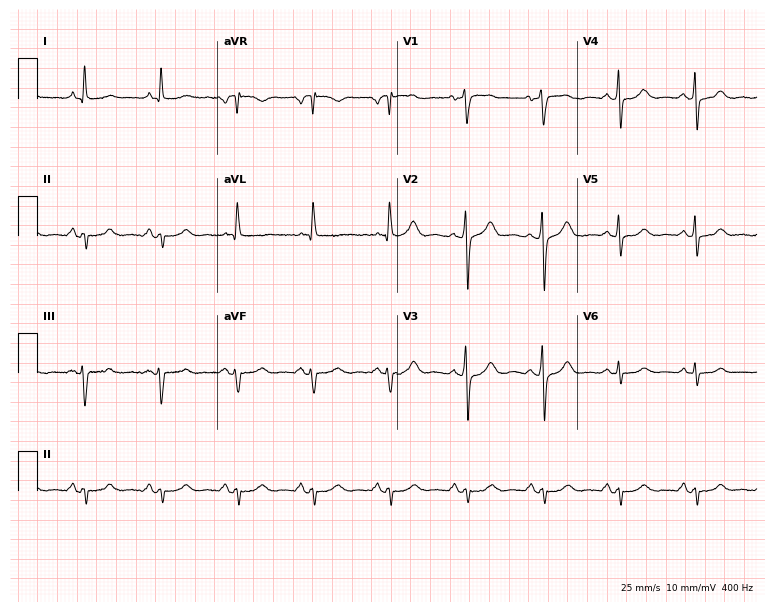
Resting 12-lead electrocardiogram (7.3-second recording at 400 Hz). Patient: a man, 74 years old. None of these six findings is recorded: first-degree AV block, right bundle branch block, left bundle branch block, sinus bradycardia, atrial fibrillation, sinus tachycardia. Only these six findings were labelled.